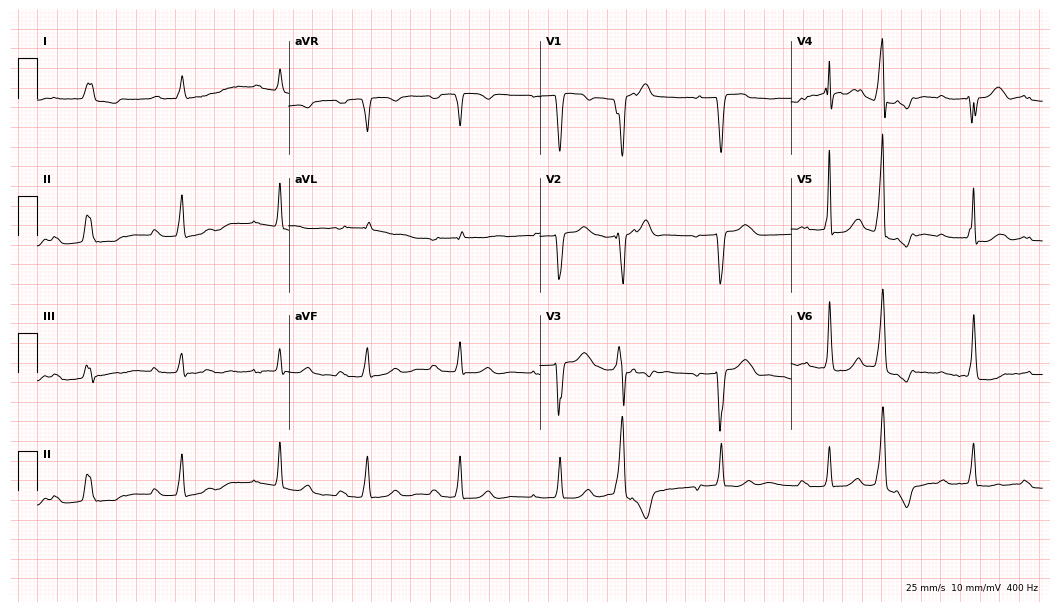
12-lead ECG (10.2-second recording at 400 Hz) from an 81-year-old male patient. Findings include first-degree AV block.